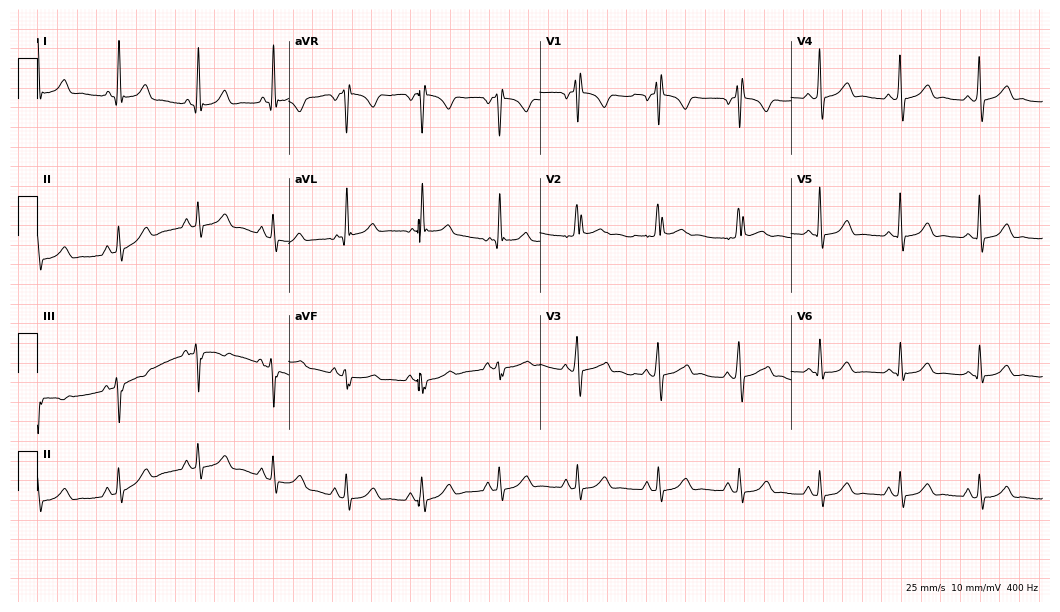
Resting 12-lead electrocardiogram. Patient: a male, 47 years old. None of these six findings is recorded: first-degree AV block, right bundle branch block (RBBB), left bundle branch block (LBBB), sinus bradycardia, atrial fibrillation (AF), sinus tachycardia.